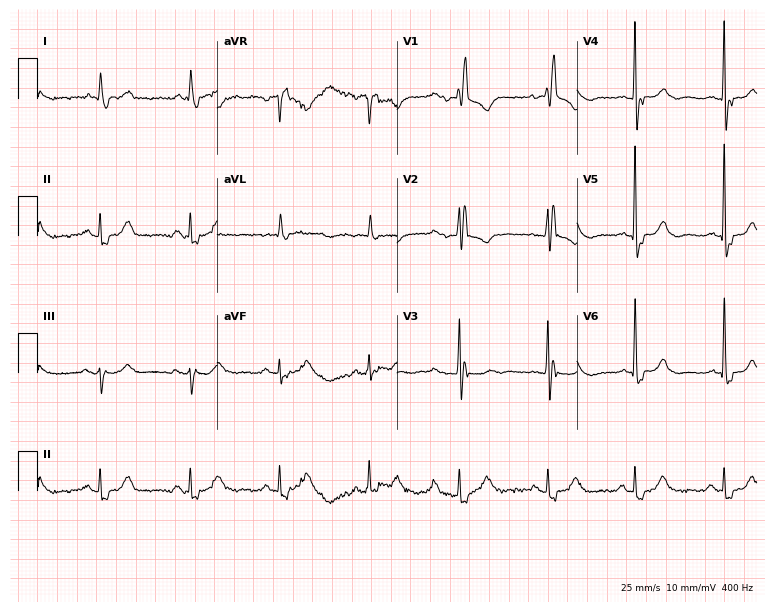
ECG — a 73-year-old woman. Findings include right bundle branch block (RBBB).